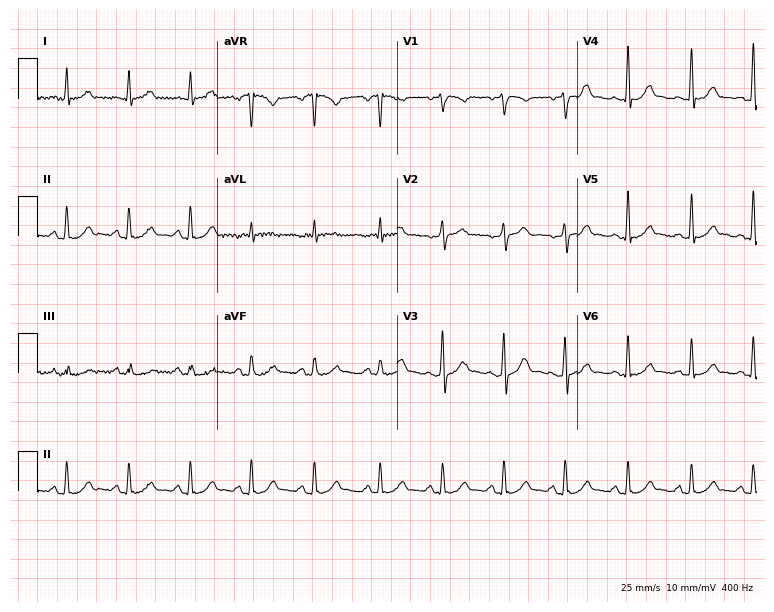
12-lead ECG from a 43-year-old man. Recorded interpretation: within normal limits.